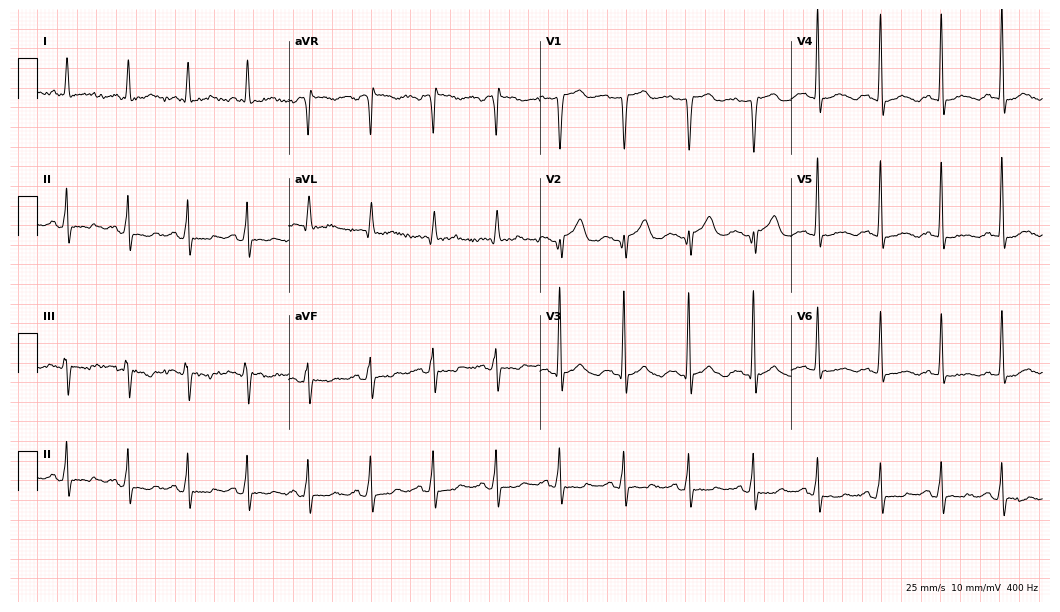
12-lead ECG from a 67-year-old female patient (10.2-second recording at 400 Hz). No first-degree AV block, right bundle branch block (RBBB), left bundle branch block (LBBB), sinus bradycardia, atrial fibrillation (AF) or sinus tachycardia recorded for this tracing.